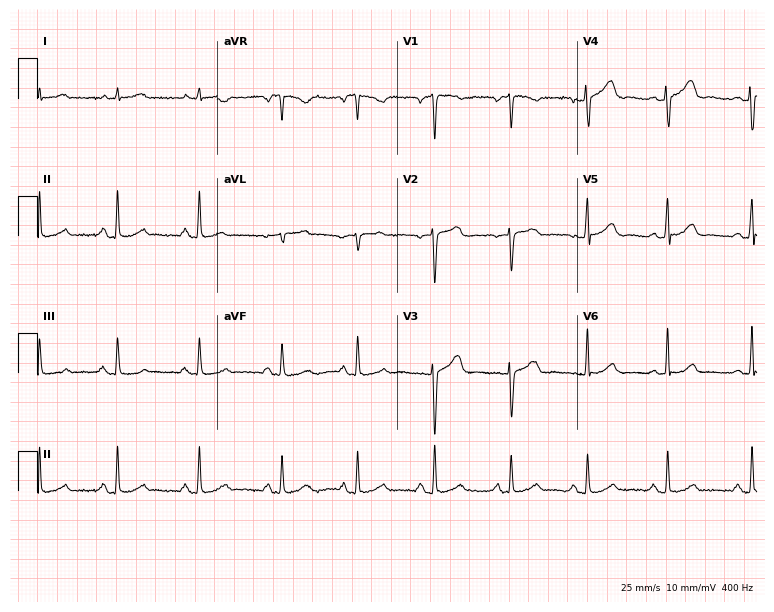
12-lead ECG from a female, 30 years old. No first-degree AV block, right bundle branch block (RBBB), left bundle branch block (LBBB), sinus bradycardia, atrial fibrillation (AF) or sinus tachycardia recorded for this tracing.